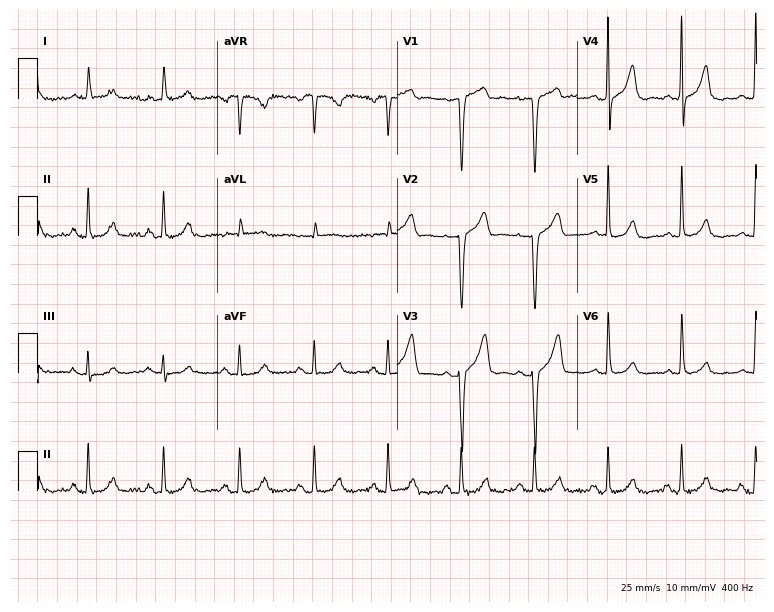
12-lead ECG (7.3-second recording at 400 Hz) from a 53-year-old male. Labelled as a normal ECG.